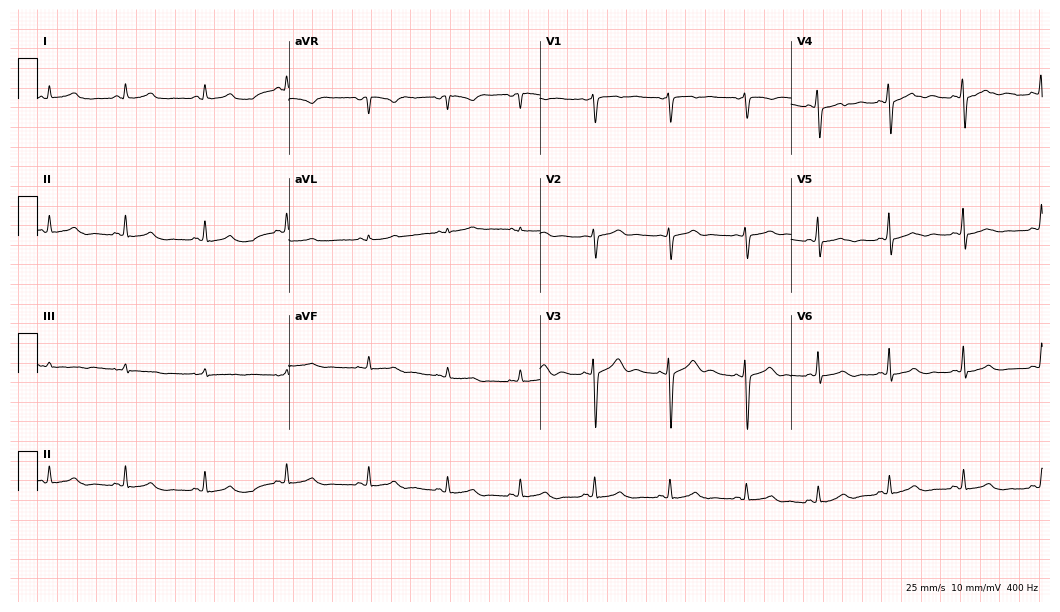
ECG (10.2-second recording at 400 Hz) — a 30-year-old woman. Labelled as a normal ECG.